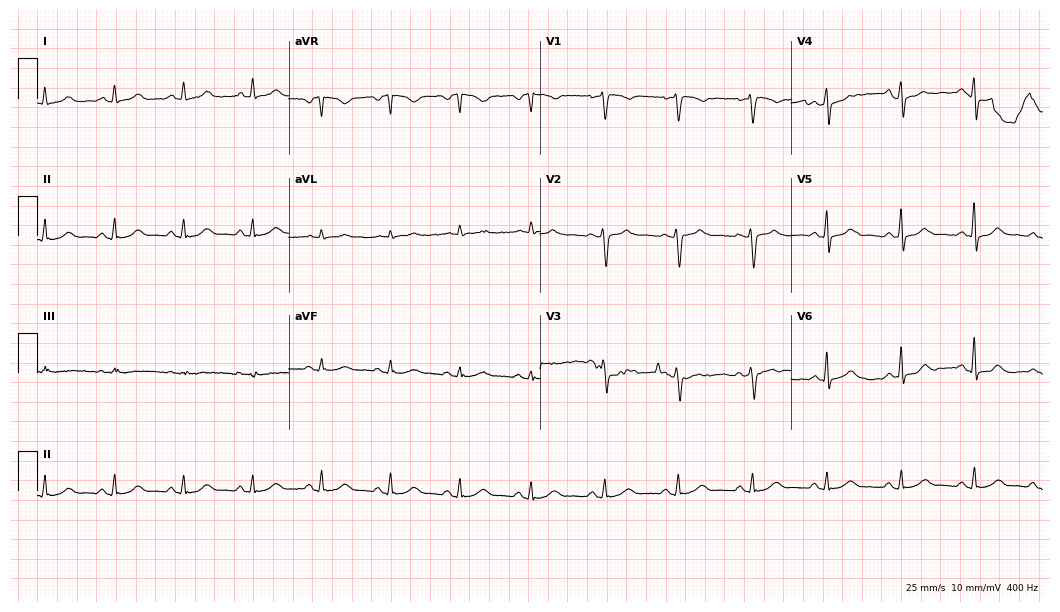
12-lead ECG (10.2-second recording at 400 Hz) from a 47-year-old female patient. Labelled as a normal ECG.